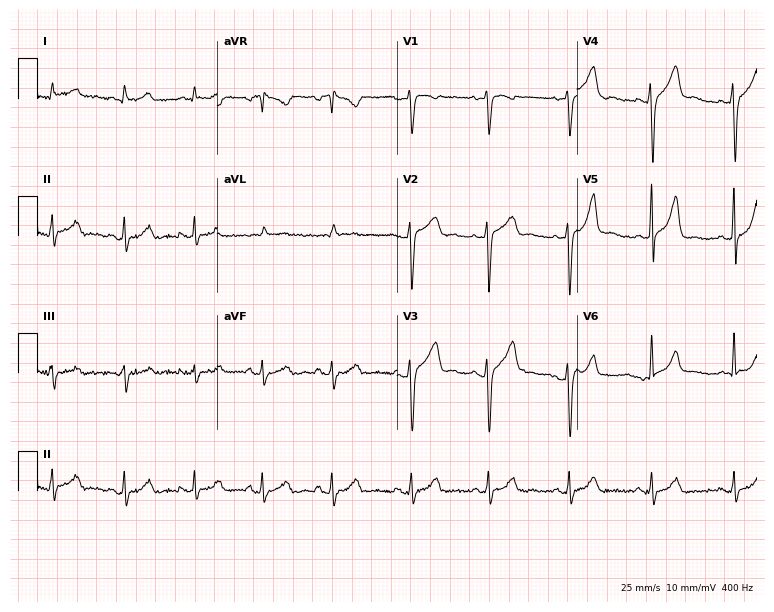
Standard 12-lead ECG recorded from a 42-year-old male. None of these six findings is recorded: first-degree AV block, right bundle branch block, left bundle branch block, sinus bradycardia, atrial fibrillation, sinus tachycardia. Findings outside these six are not listed.